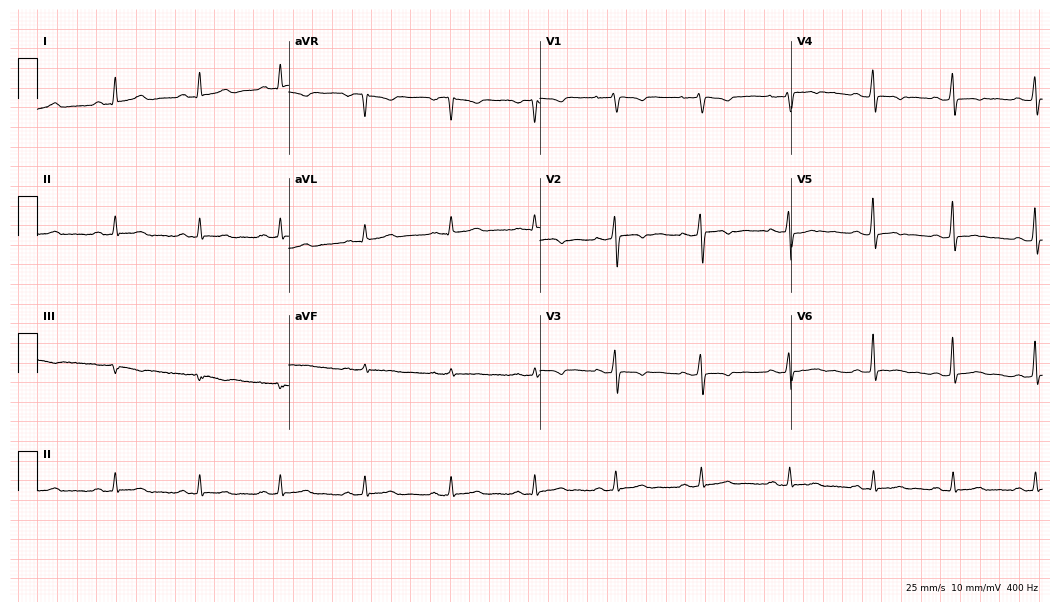
Standard 12-lead ECG recorded from a 42-year-old female (10.2-second recording at 400 Hz). None of these six findings is recorded: first-degree AV block, right bundle branch block, left bundle branch block, sinus bradycardia, atrial fibrillation, sinus tachycardia.